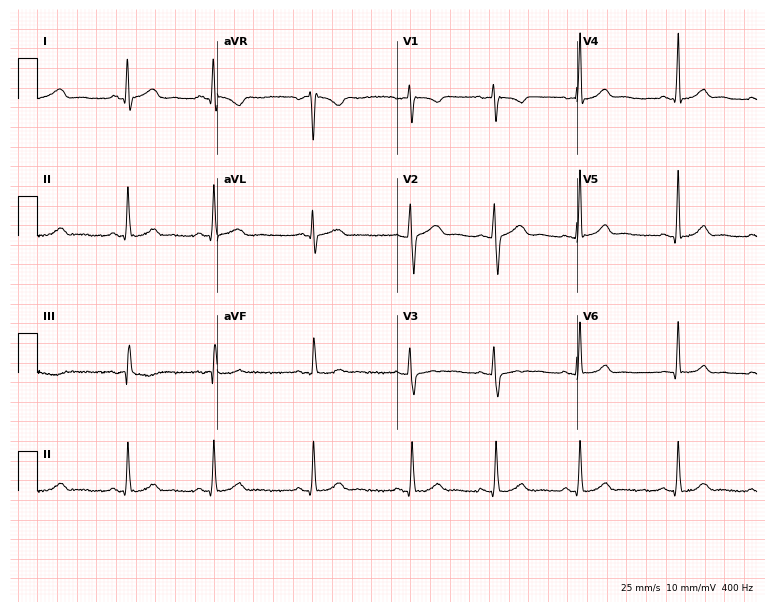
ECG — a woman, 30 years old. Labelled as a normal ECG.